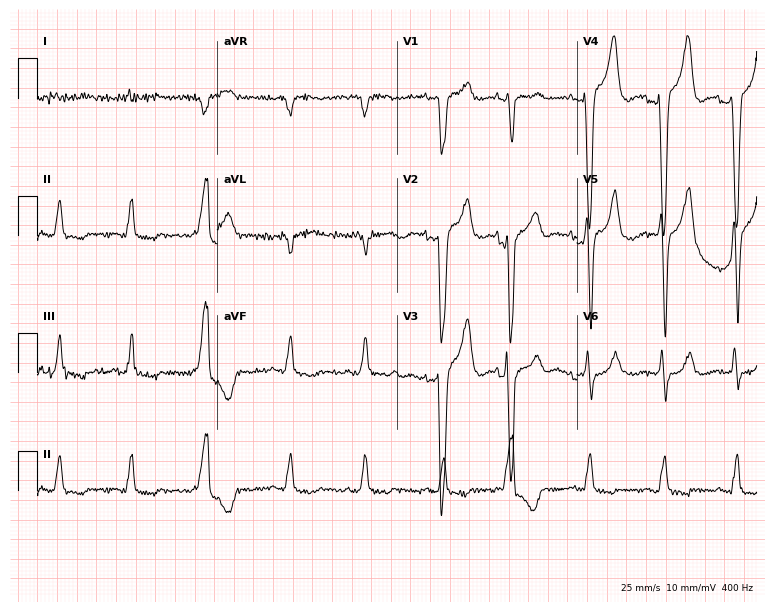
ECG — an 84-year-old male patient. Screened for six findings — first-degree AV block, right bundle branch block (RBBB), left bundle branch block (LBBB), sinus bradycardia, atrial fibrillation (AF), sinus tachycardia — none is recorded. Other findings, if any, are not listed.